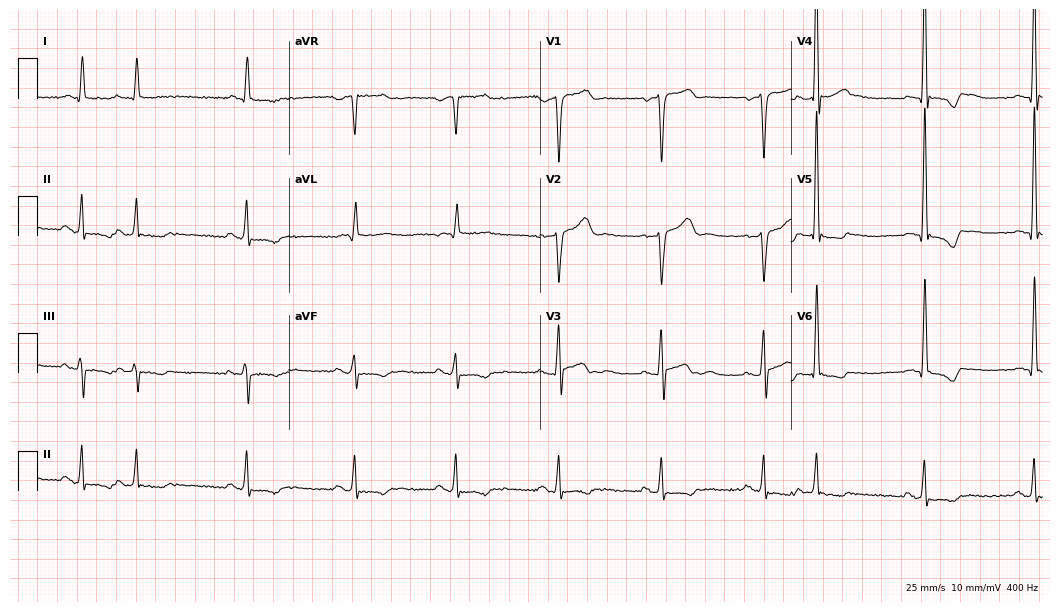
12-lead ECG from a man, 64 years old (10.2-second recording at 400 Hz). No first-degree AV block, right bundle branch block, left bundle branch block, sinus bradycardia, atrial fibrillation or sinus tachycardia recorded for this tracing.